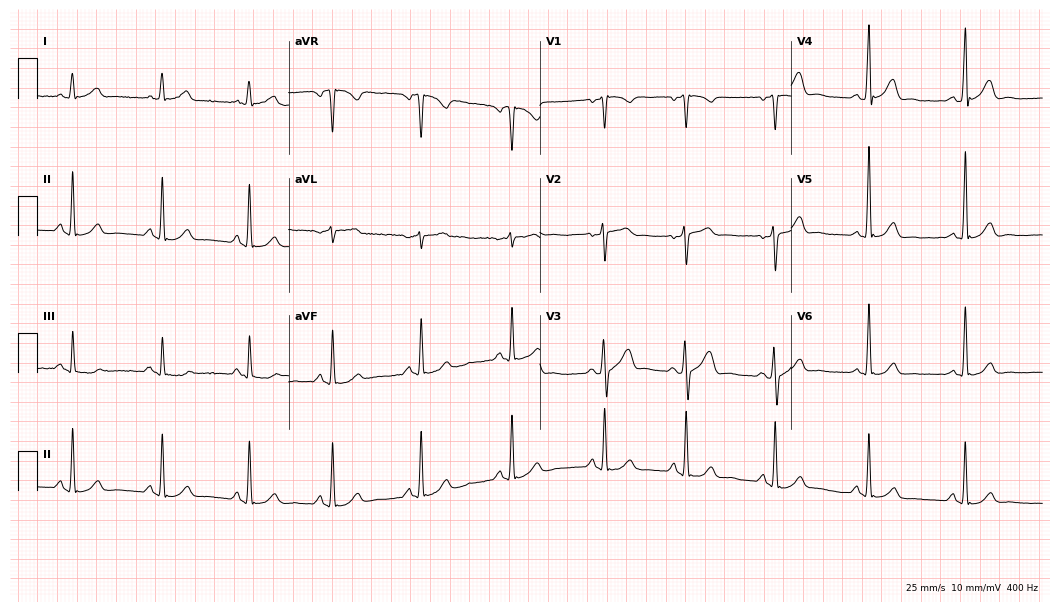
Electrocardiogram, a 51-year-old male patient. Overall reading on record: normal ECG.